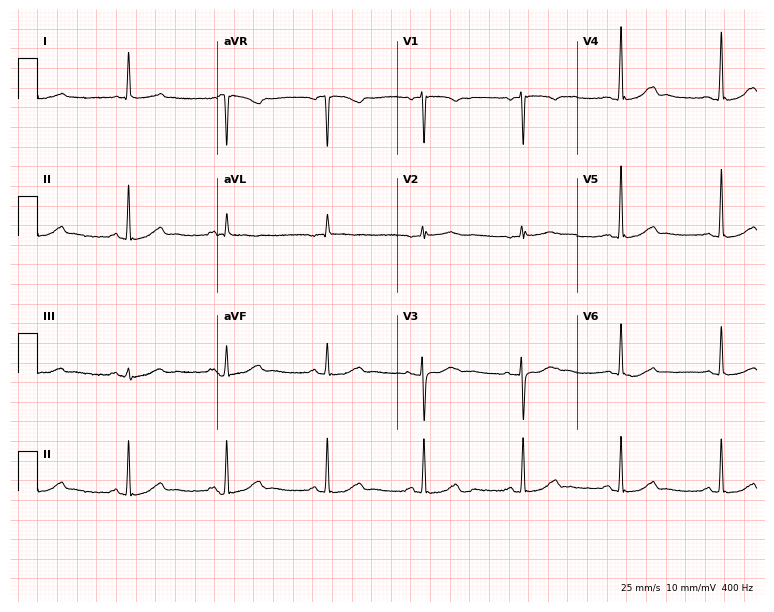
Standard 12-lead ECG recorded from a 71-year-old female (7.3-second recording at 400 Hz). Read as a normal ECG.